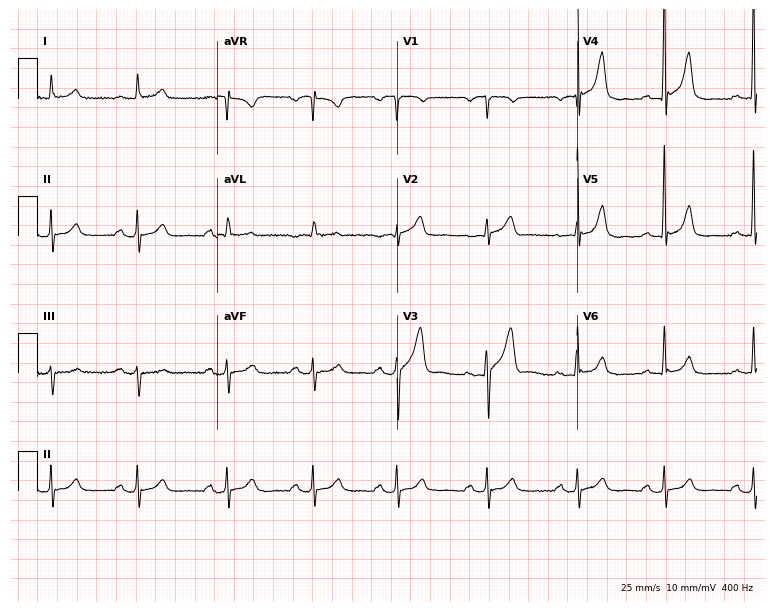
Standard 12-lead ECG recorded from a male, 57 years old (7.3-second recording at 400 Hz). None of these six findings is recorded: first-degree AV block, right bundle branch block (RBBB), left bundle branch block (LBBB), sinus bradycardia, atrial fibrillation (AF), sinus tachycardia. Only these six findings were labelled.